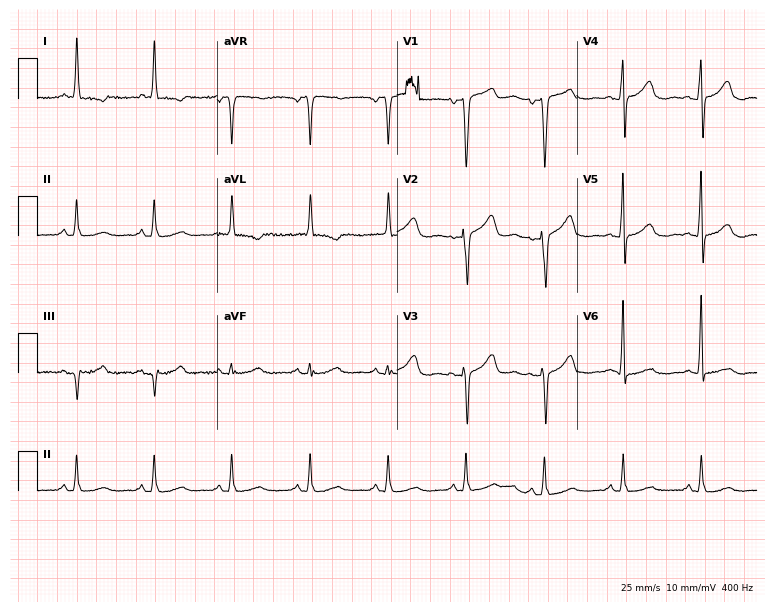
Electrocardiogram (7.3-second recording at 400 Hz), a 62-year-old female patient. Of the six screened findings (first-degree AV block, right bundle branch block, left bundle branch block, sinus bradycardia, atrial fibrillation, sinus tachycardia), none is recorded. Findings outside these six are not listed.